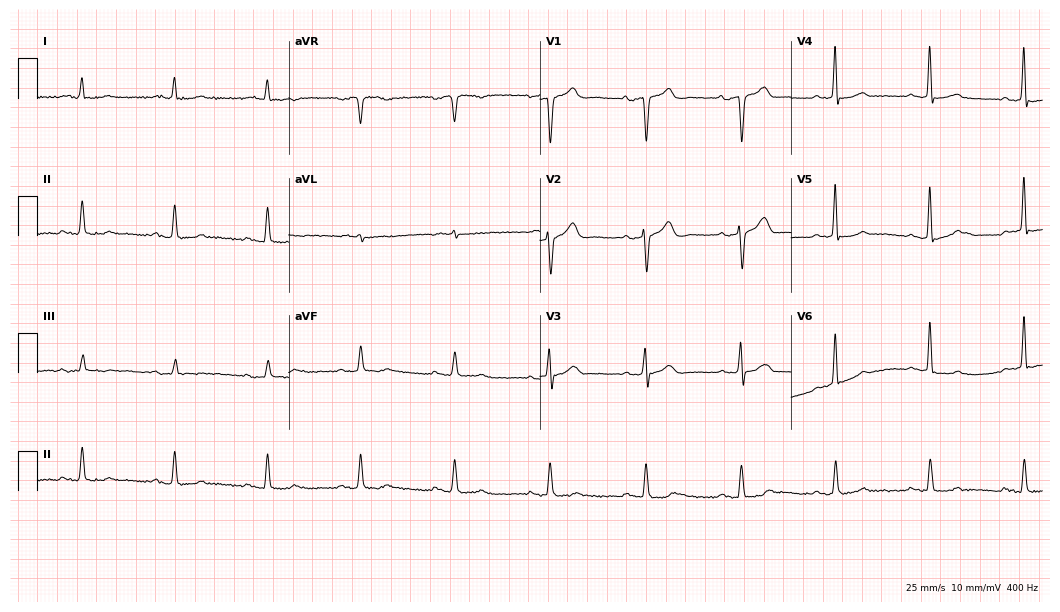
Resting 12-lead electrocardiogram (10.2-second recording at 400 Hz). Patient: a 72-year-old man. None of these six findings is recorded: first-degree AV block, right bundle branch block, left bundle branch block, sinus bradycardia, atrial fibrillation, sinus tachycardia.